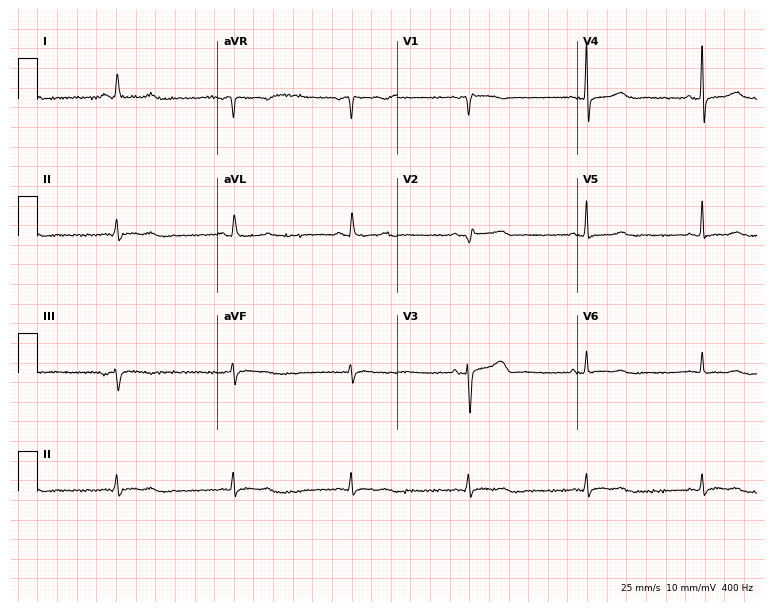
Standard 12-lead ECG recorded from an 82-year-old female. The tracing shows sinus bradycardia (a sinus rate of 50 beats per minute or less).